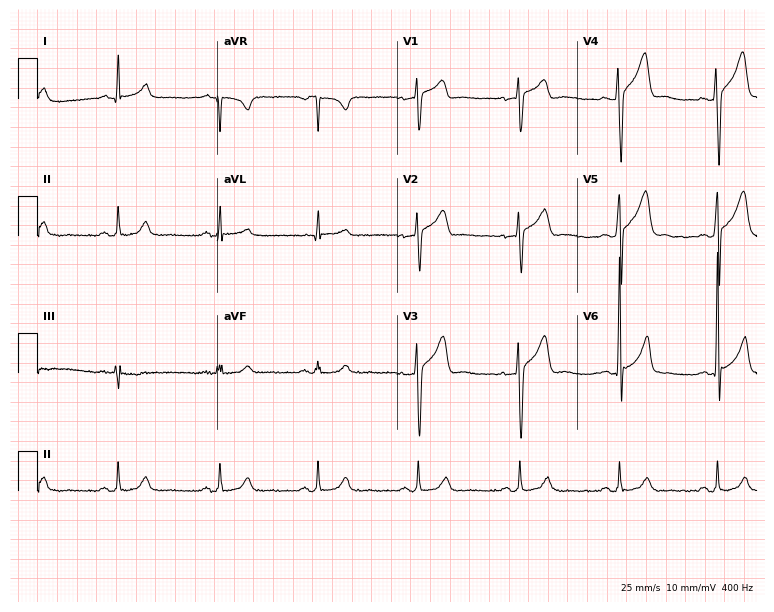
ECG — a 40-year-old male. Screened for six findings — first-degree AV block, right bundle branch block (RBBB), left bundle branch block (LBBB), sinus bradycardia, atrial fibrillation (AF), sinus tachycardia — none is recorded. Only these six findings were labelled.